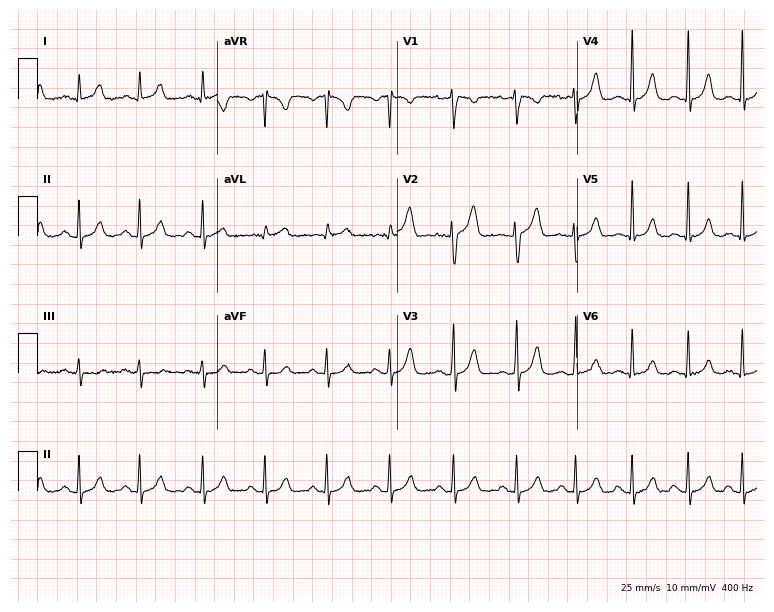
ECG — a 29-year-old female patient. Screened for six findings — first-degree AV block, right bundle branch block (RBBB), left bundle branch block (LBBB), sinus bradycardia, atrial fibrillation (AF), sinus tachycardia — none is recorded. Findings outside these six are not listed.